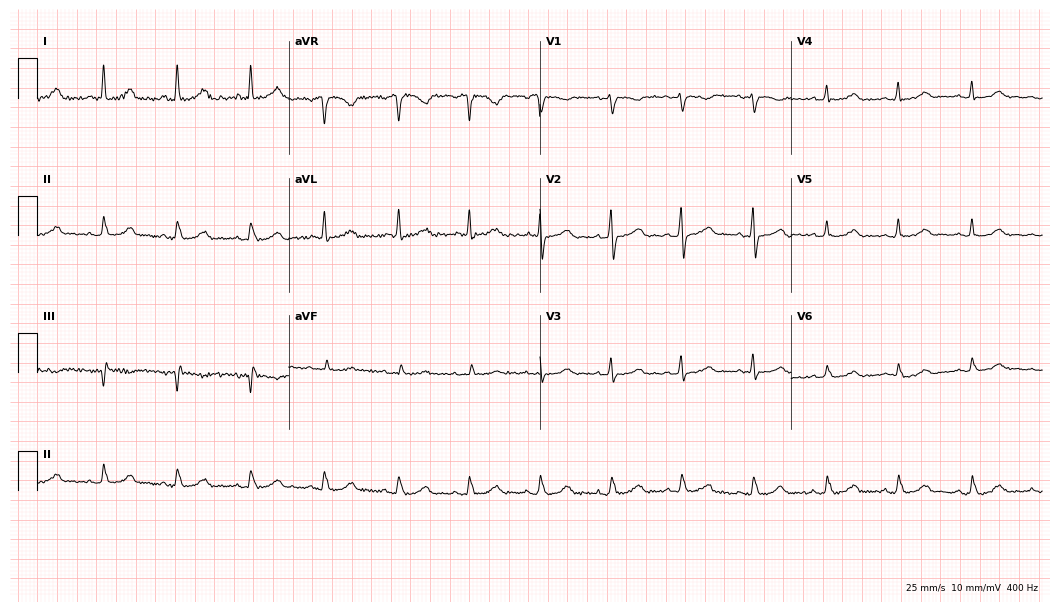
12-lead ECG from a woman, 36 years old (10.2-second recording at 400 Hz). No first-degree AV block, right bundle branch block, left bundle branch block, sinus bradycardia, atrial fibrillation or sinus tachycardia recorded for this tracing. Findings outside these six are not listed.